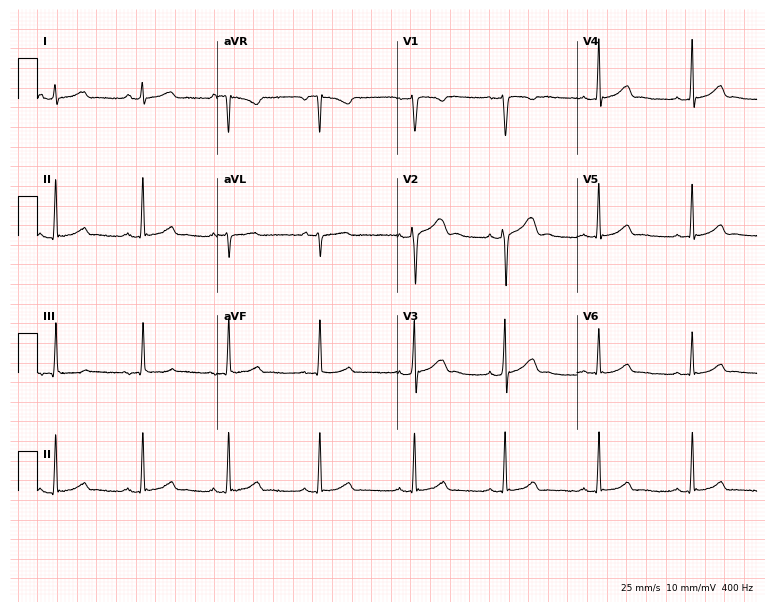
12-lead ECG from a woman, 24 years old. Labelled as a normal ECG.